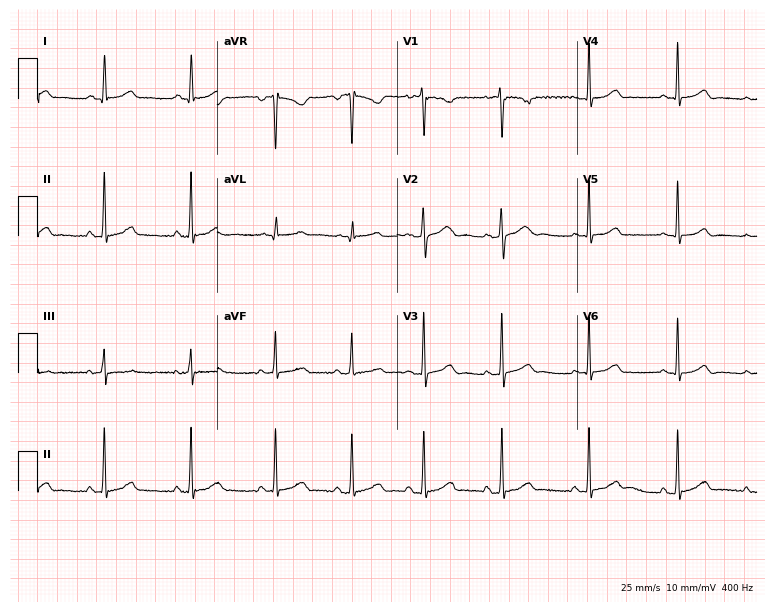
12-lead ECG from a female, 21 years old (7.3-second recording at 400 Hz). Recorded interpretation: within normal limits.